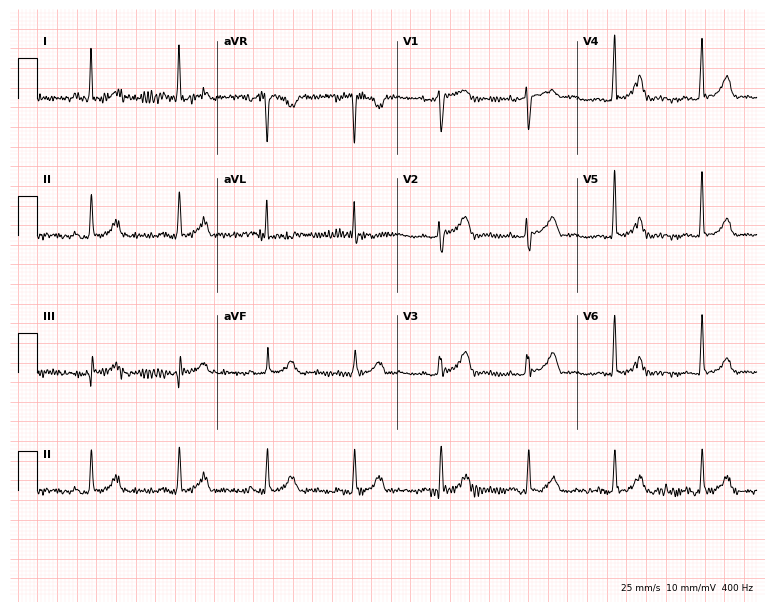
Resting 12-lead electrocardiogram. Patient: a 57-year-old female. Read as a normal ECG.